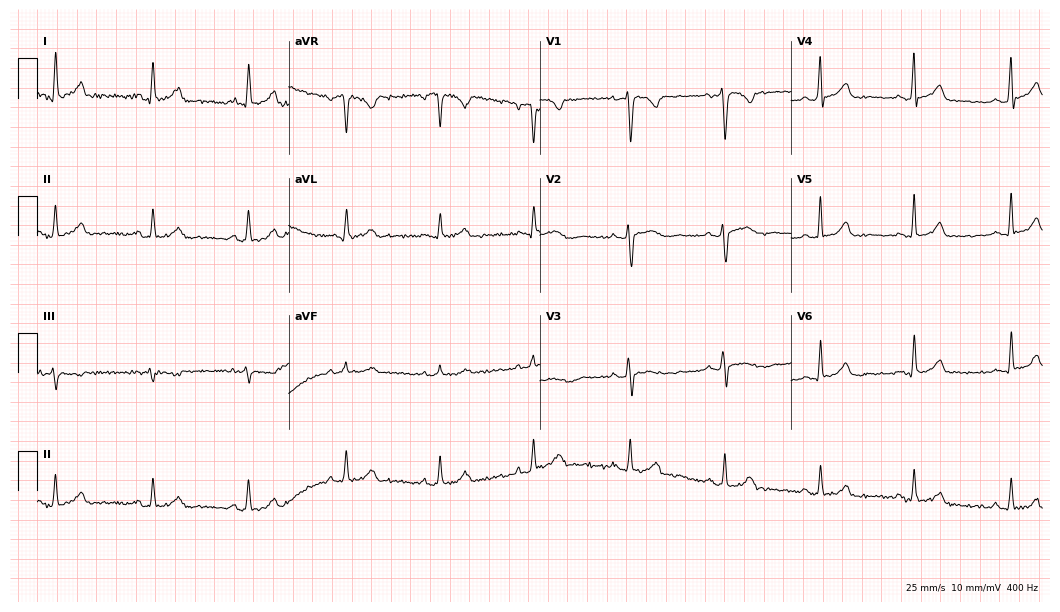
Resting 12-lead electrocardiogram. Patient: a female, 43 years old. Read as a normal ECG.